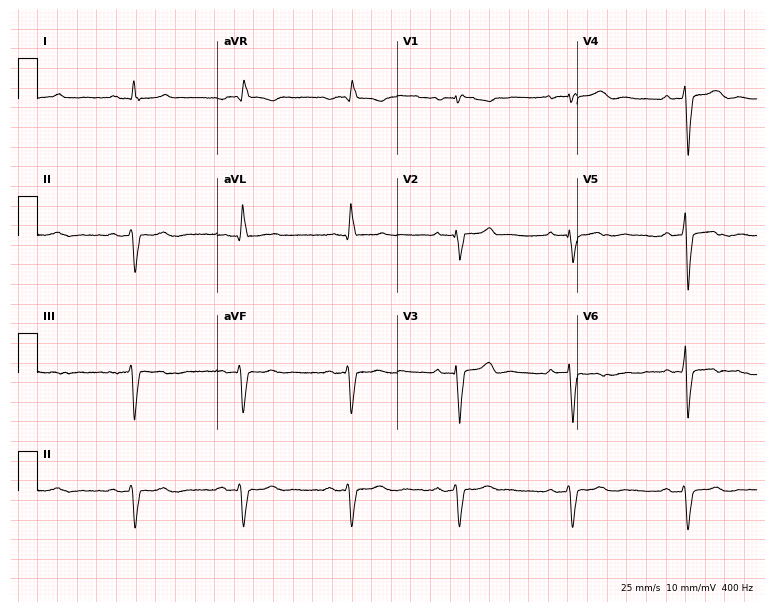
ECG — a male, 70 years old. Screened for six findings — first-degree AV block, right bundle branch block (RBBB), left bundle branch block (LBBB), sinus bradycardia, atrial fibrillation (AF), sinus tachycardia — none is recorded.